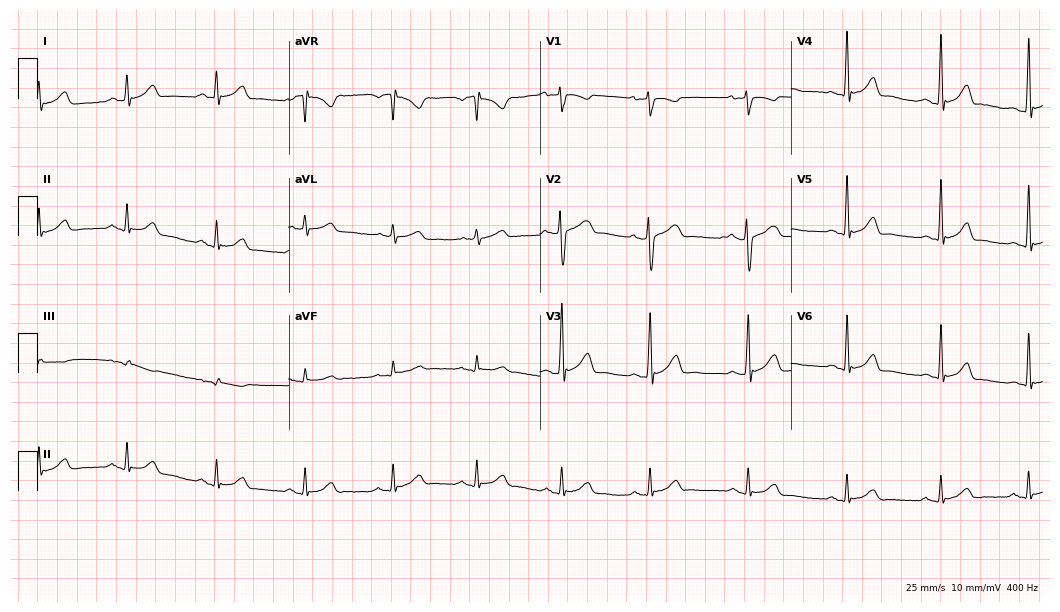
12-lead ECG from a 33-year-old male (10.2-second recording at 400 Hz). Recorded interpretation: within normal limits.